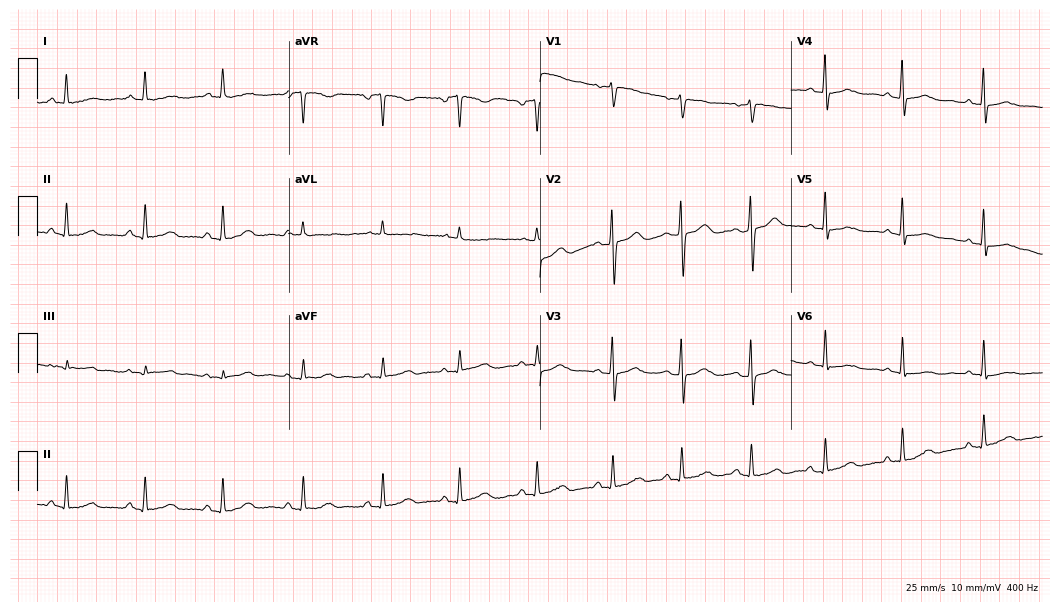
Resting 12-lead electrocardiogram. Patient: a 45-year-old woman. Read as a normal ECG.